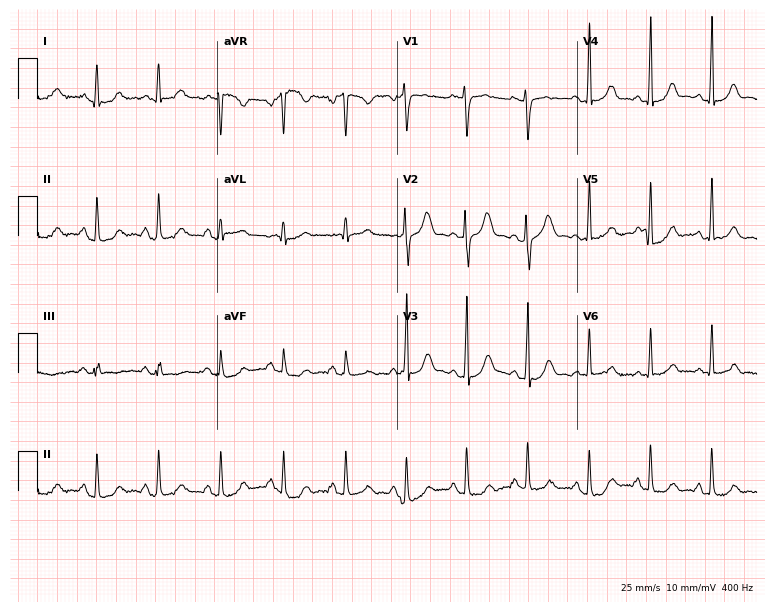
Electrocardiogram, a 29-year-old woman. Of the six screened findings (first-degree AV block, right bundle branch block, left bundle branch block, sinus bradycardia, atrial fibrillation, sinus tachycardia), none is recorded.